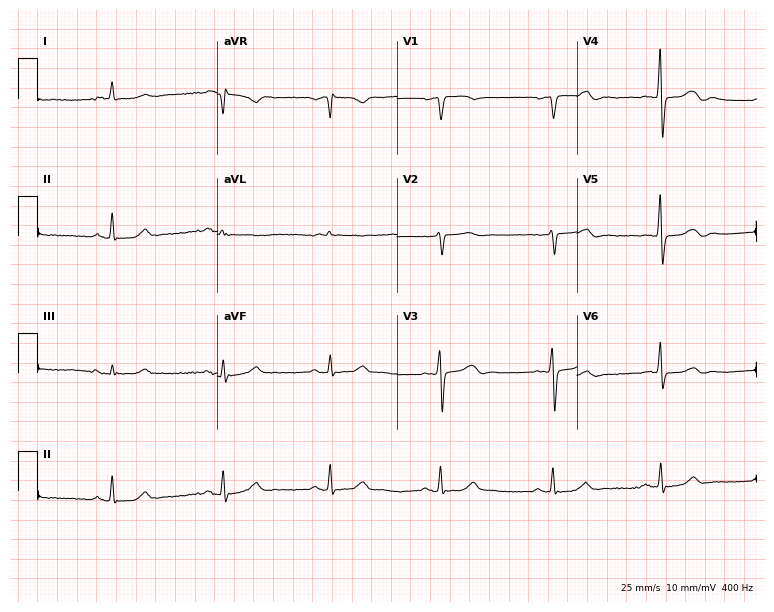
12-lead ECG from an 82-year-old female patient. Screened for six findings — first-degree AV block, right bundle branch block, left bundle branch block, sinus bradycardia, atrial fibrillation, sinus tachycardia — none is recorded.